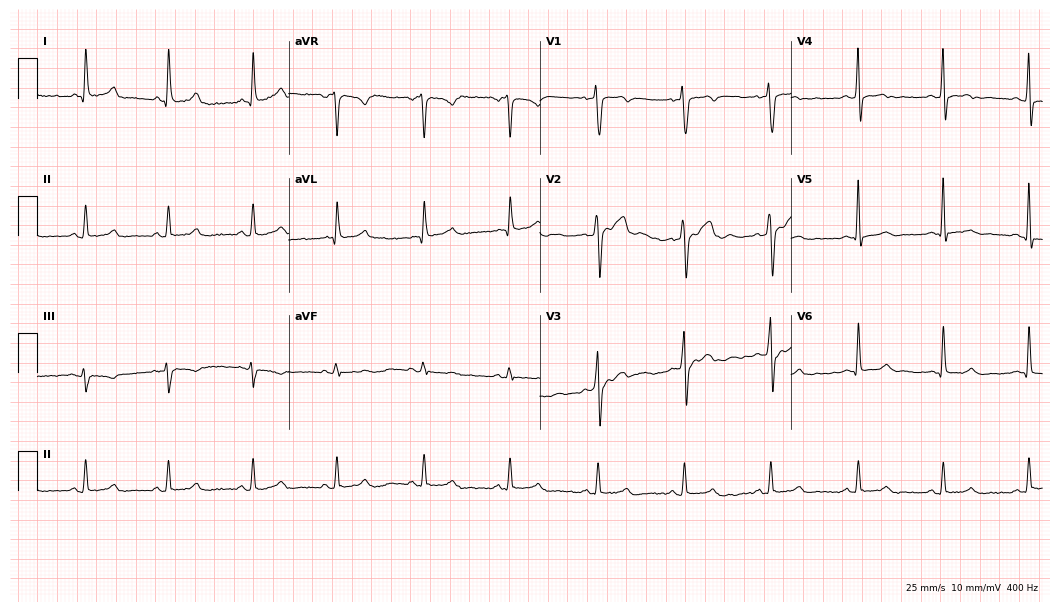
ECG (10.2-second recording at 400 Hz) — a male, 39 years old. Labelled as a normal ECG.